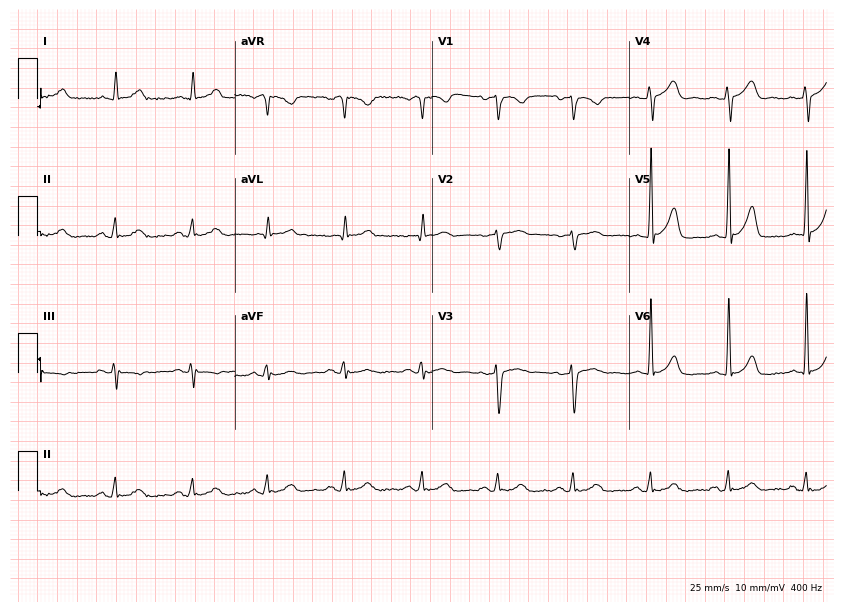
12-lead ECG from a male, 51 years old. Labelled as a normal ECG.